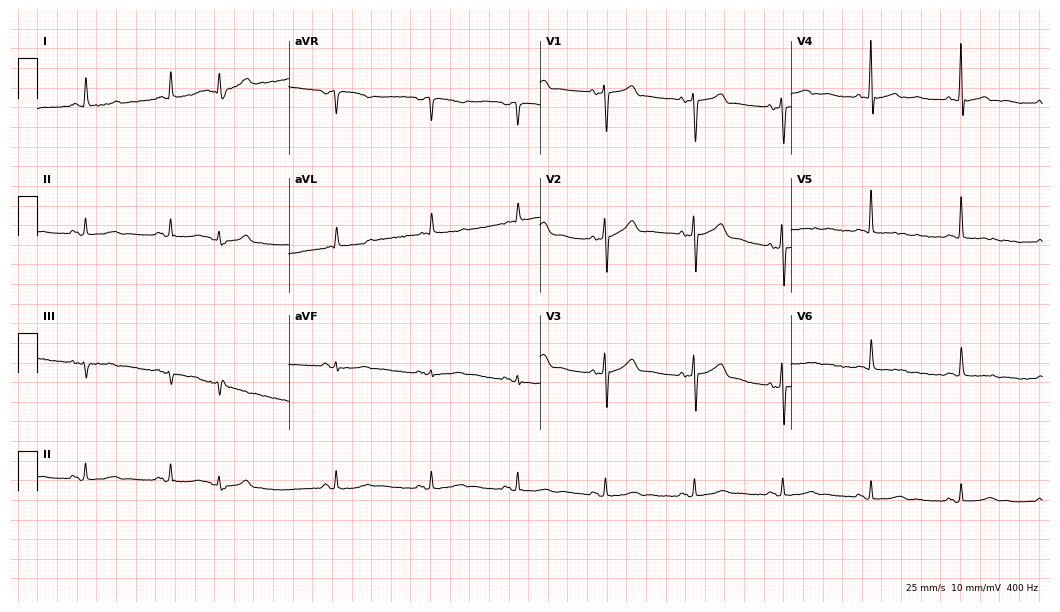
Standard 12-lead ECG recorded from a male, 84 years old (10.2-second recording at 400 Hz). None of these six findings is recorded: first-degree AV block, right bundle branch block, left bundle branch block, sinus bradycardia, atrial fibrillation, sinus tachycardia.